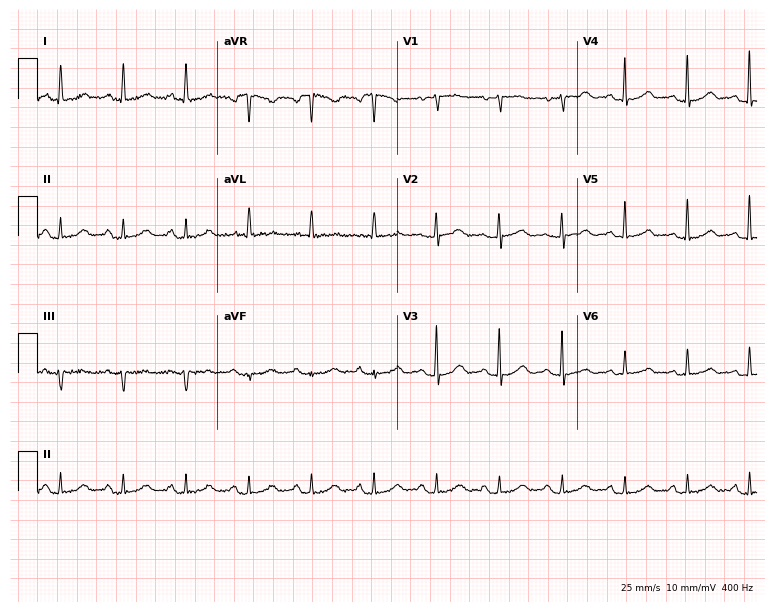
Electrocardiogram, a female, 79 years old. Overall reading on record: normal ECG.